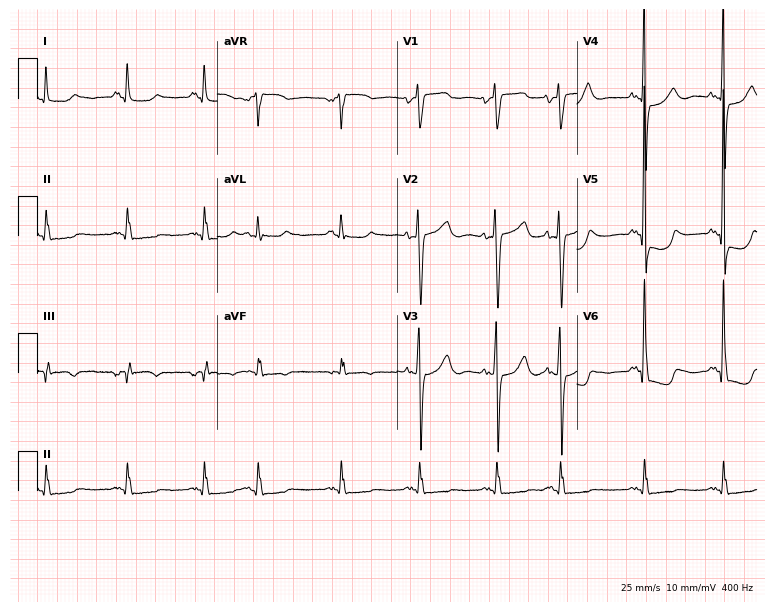
Resting 12-lead electrocardiogram (7.3-second recording at 400 Hz). Patient: a 60-year-old female. None of these six findings is recorded: first-degree AV block, right bundle branch block, left bundle branch block, sinus bradycardia, atrial fibrillation, sinus tachycardia. Other findings, if any, are not listed.